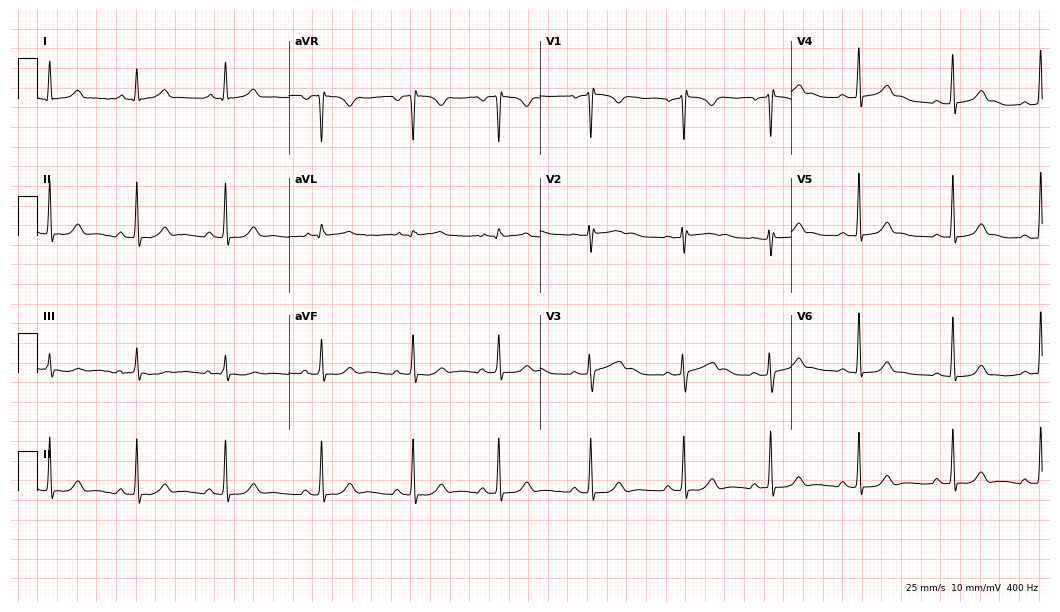
ECG — a female, 23 years old. Labelled as a normal ECG.